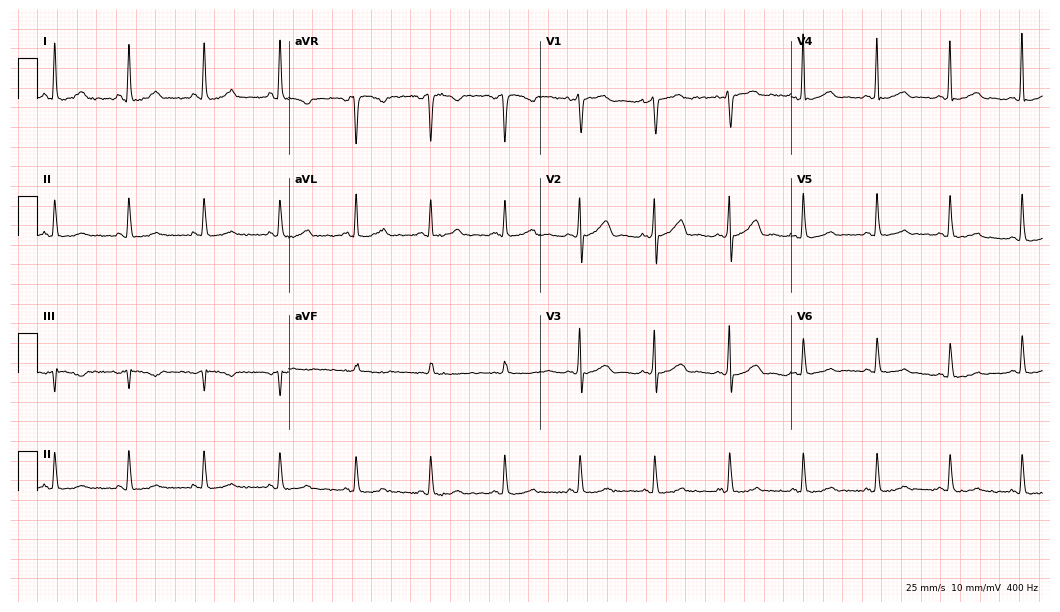
Electrocardiogram, a female, 53 years old. Overall reading on record: normal ECG.